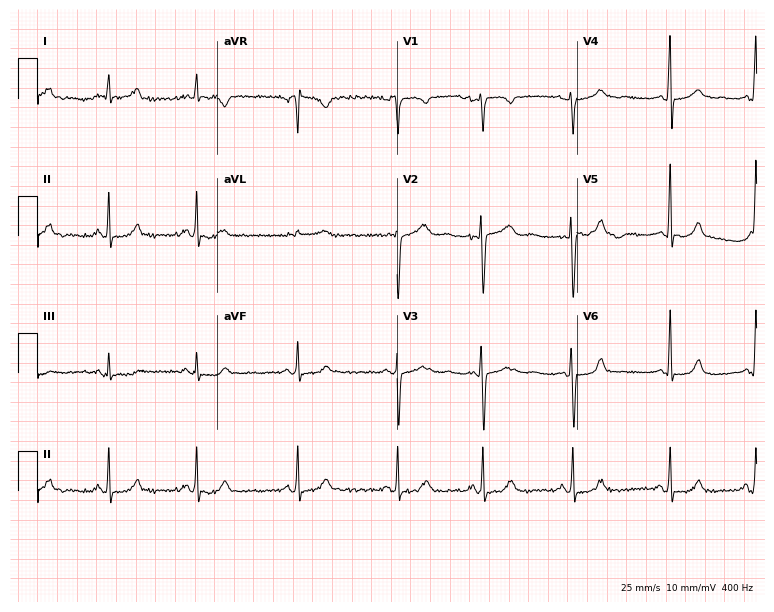
12-lead ECG from a 27-year-old woman. Recorded interpretation: within normal limits.